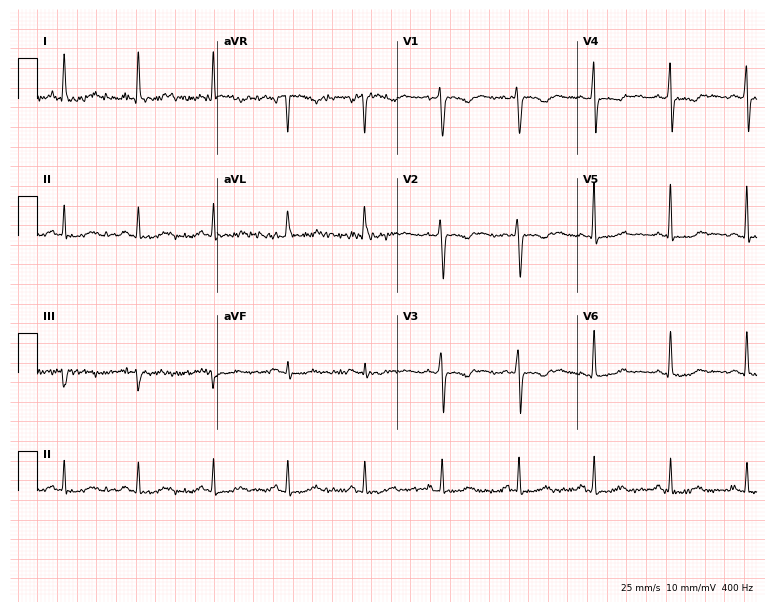
ECG (7.3-second recording at 400 Hz) — a female, 43 years old. Screened for six findings — first-degree AV block, right bundle branch block, left bundle branch block, sinus bradycardia, atrial fibrillation, sinus tachycardia — none is recorded. Other findings, if any, are not listed.